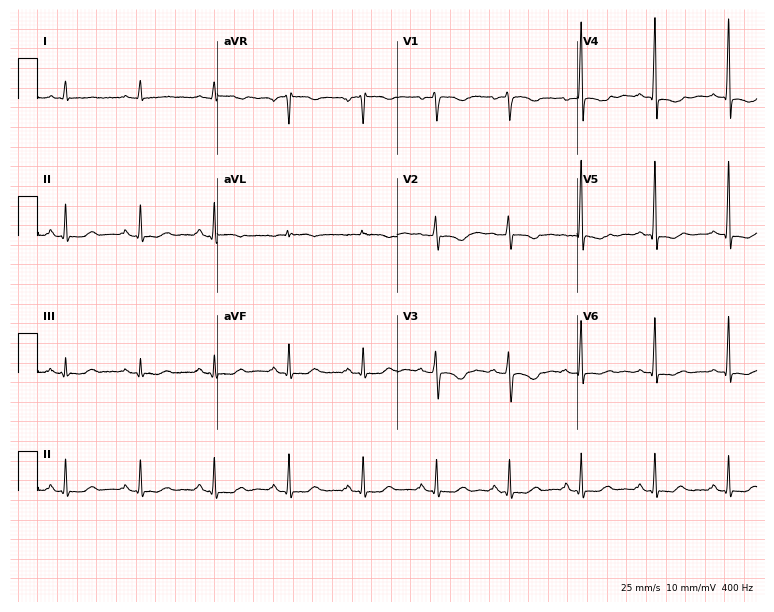
Electrocardiogram, a female patient, 56 years old. Of the six screened findings (first-degree AV block, right bundle branch block, left bundle branch block, sinus bradycardia, atrial fibrillation, sinus tachycardia), none is recorded.